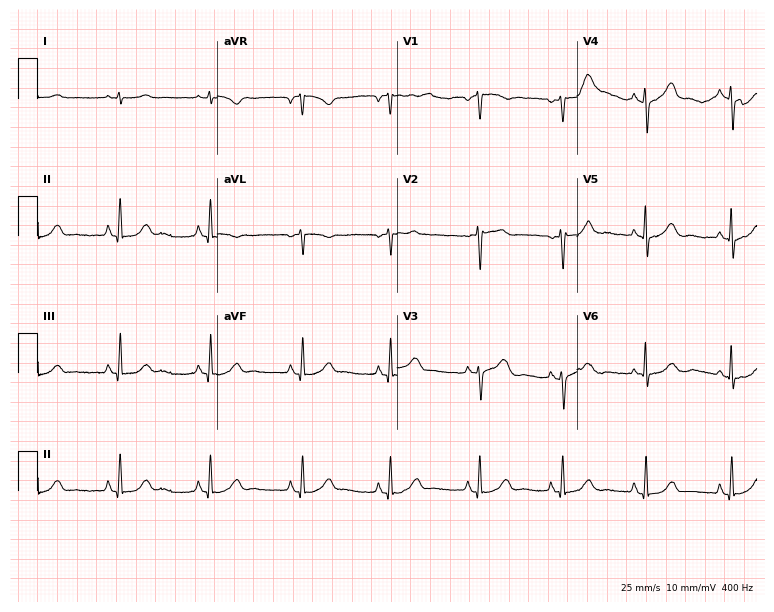
Resting 12-lead electrocardiogram. Patient: a woman, 66 years old. Read as a normal ECG.